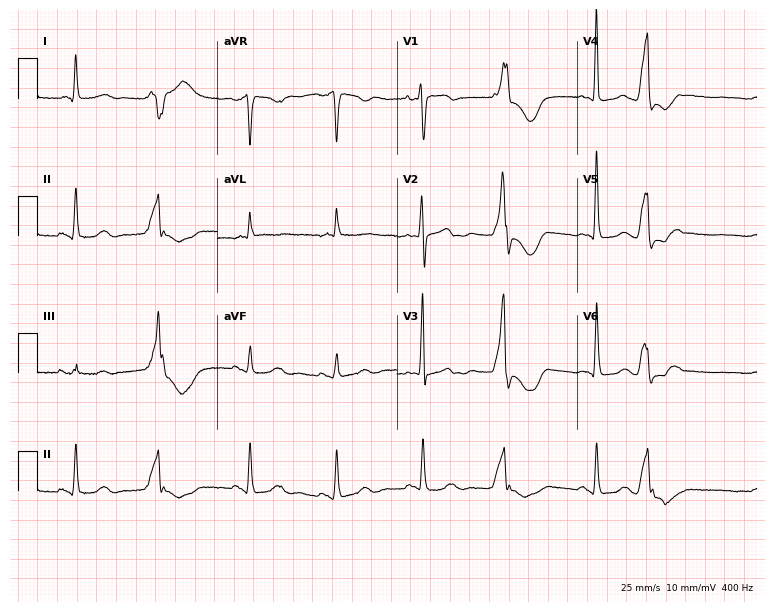
12-lead ECG from a female, 76 years old (7.3-second recording at 400 Hz). No first-degree AV block, right bundle branch block (RBBB), left bundle branch block (LBBB), sinus bradycardia, atrial fibrillation (AF) or sinus tachycardia recorded for this tracing.